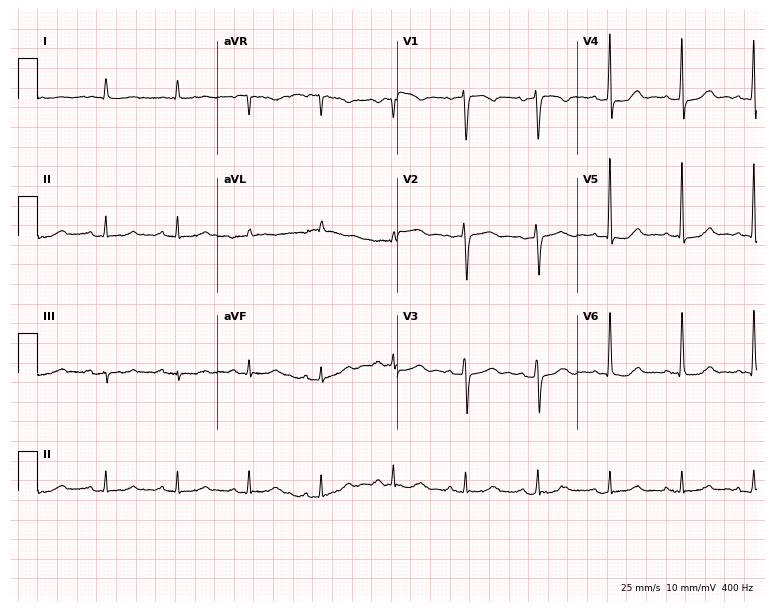
12-lead ECG (7.3-second recording at 400 Hz) from a female, 85 years old. Labelled as a normal ECG.